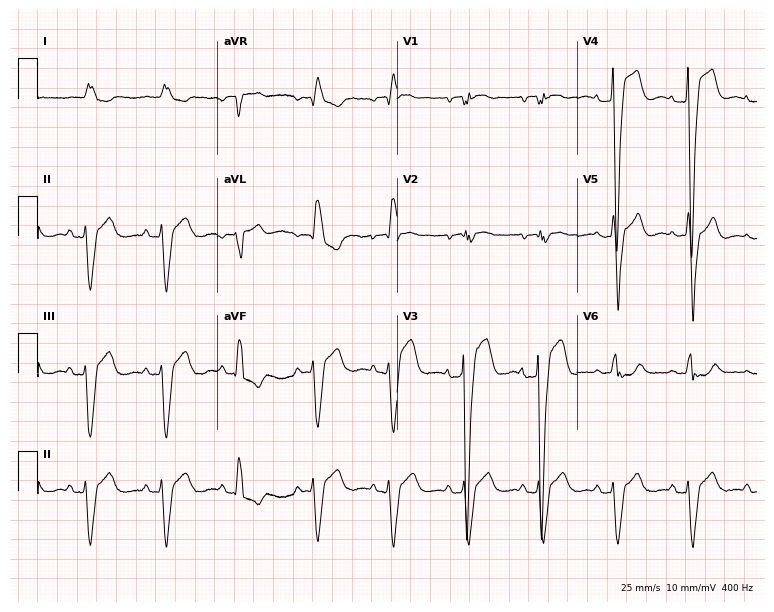
Resting 12-lead electrocardiogram. Patient: a male, 75 years old. None of these six findings is recorded: first-degree AV block, right bundle branch block, left bundle branch block, sinus bradycardia, atrial fibrillation, sinus tachycardia.